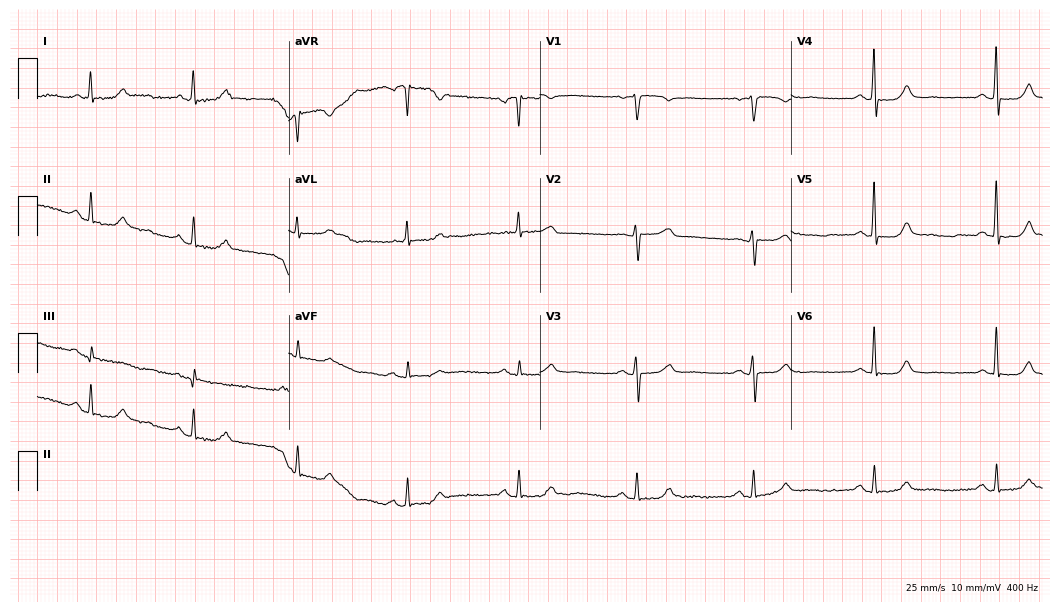
Electrocardiogram, a 71-year-old woman. Overall reading on record: normal ECG.